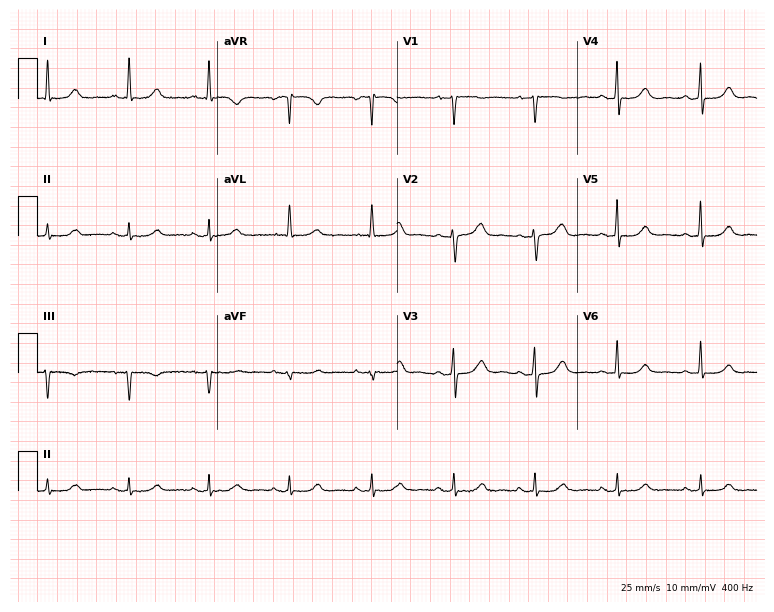
Standard 12-lead ECG recorded from a female, 65 years old (7.3-second recording at 400 Hz). None of these six findings is recorded: first-degree AV block, right bundle branch block, left bundle branch block, sinus bradycardia, atrial fibrillation, sinus tachycardia. Other findings, if any, are not listed.